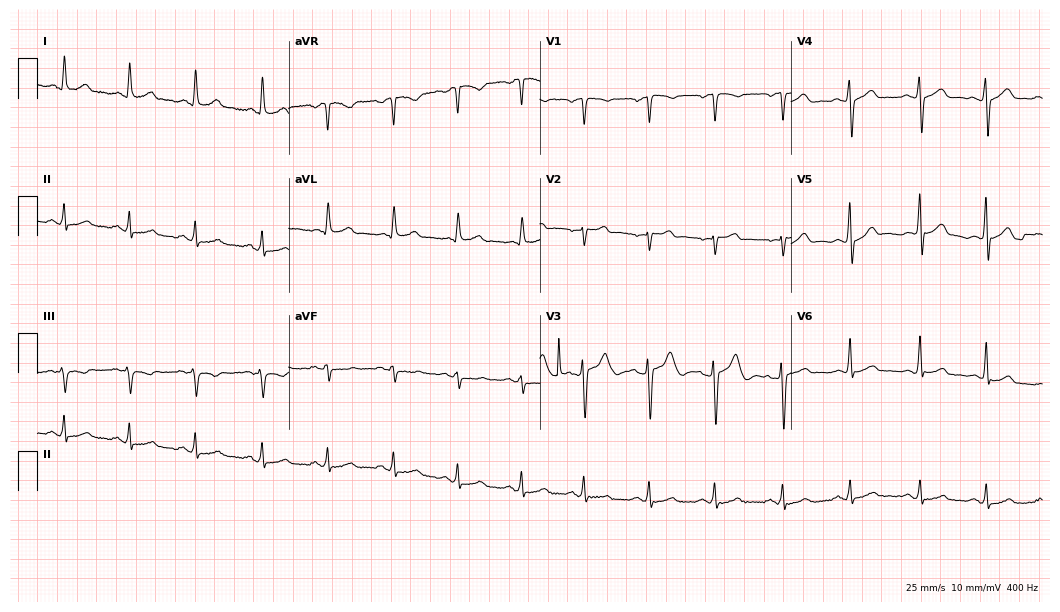
12-lead ECG (10.2-second recording at 400 Hz) from a male patient, 37 years old. Labelled as a normal ECG.